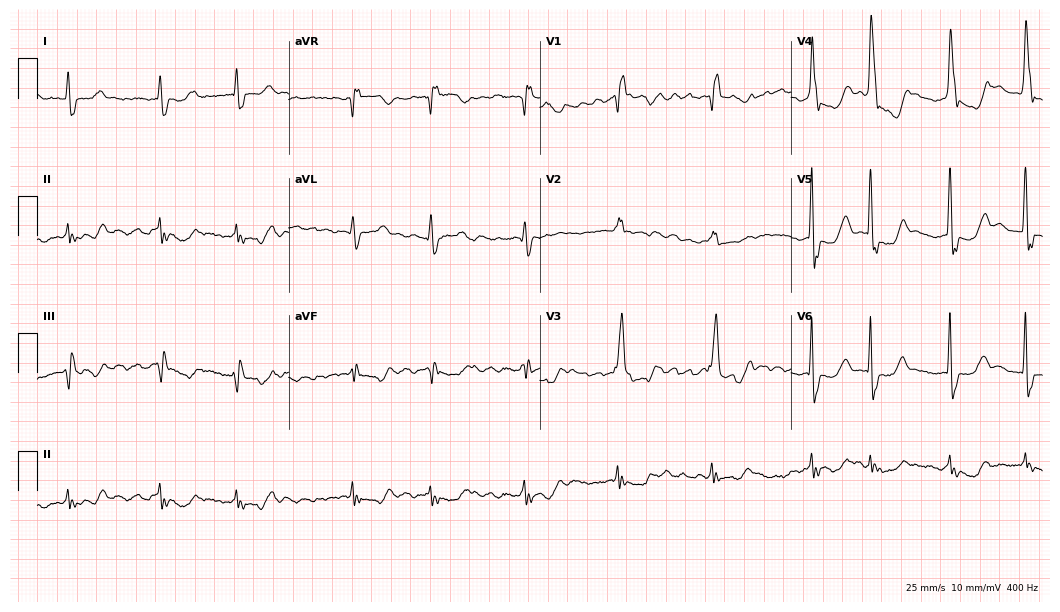
Electrocardiogram, a female patient, 77 years old. Interpretation includes right bundle branch block, atrial fibrillation.